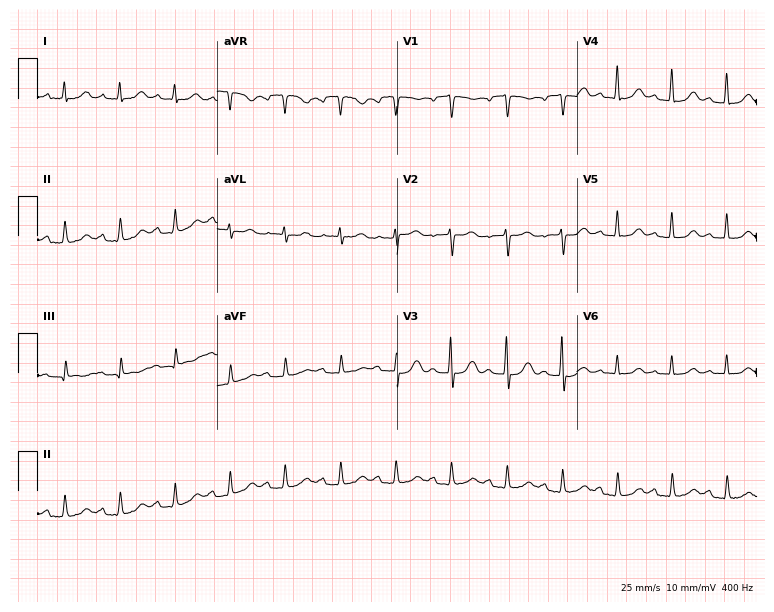
Standard 12-lead ECG recorded from a woman, 73 years old (7.3-second recording at 400 Hz). The tracing shows first-degree AV block, sinus tachycardia (a sinus rate of 100 beats per minute or more).